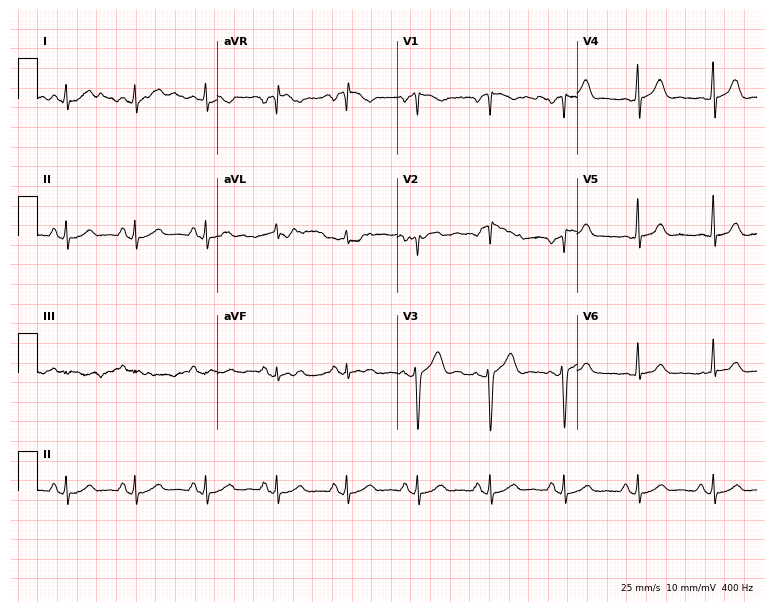
Resting 12-lead electrocardiogram. Patient: a male, 43 years old. None of these six findings is recorded: first-degree AV block, right bundle branch block, left bundle branch block, sinus bradycardia, atrial fibrillation, sinus tachycardia. Findings outside these six are not listed.